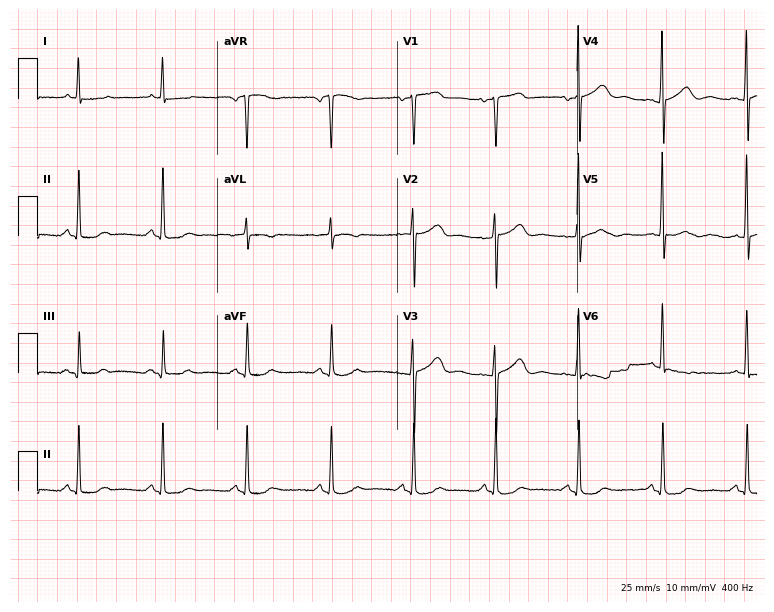
Standard 12-lead ECG recorded from a woman, 64 years old (7.3-second recording at 400 Hz). None of these six findings is recorded: first-degree AV block, right bundle branch block (RBBB), left bundle branch block (LBBB), sinus bradycardia, atrial fibrillation (AF), sinus tachycardia. Other findings, if any, are not listed.